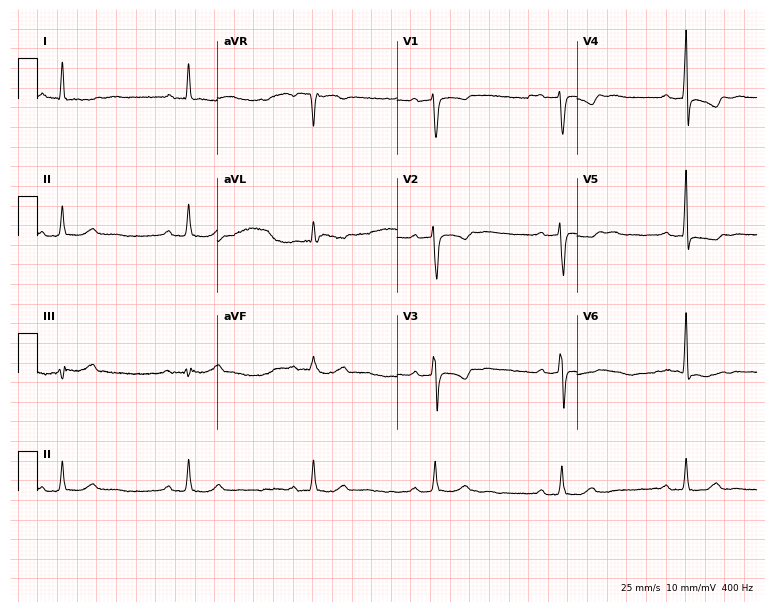
ECG (7.3-second recording at 400 Hz) — a woman, 64 years old. Findings include first-degree AV block, sinus bradycardia (a sinus rate of 50 beats per minute or less).